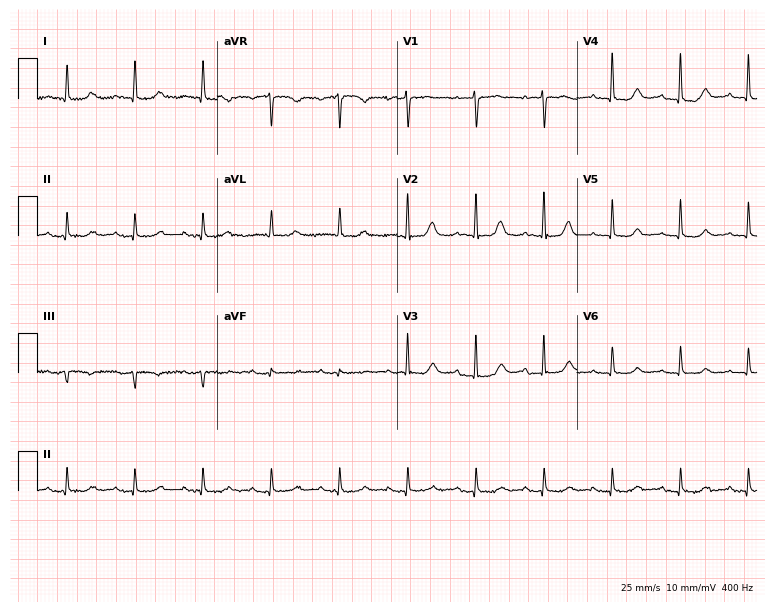
ECG — an 83-year-old female patient. Labelled as a normal ECG.